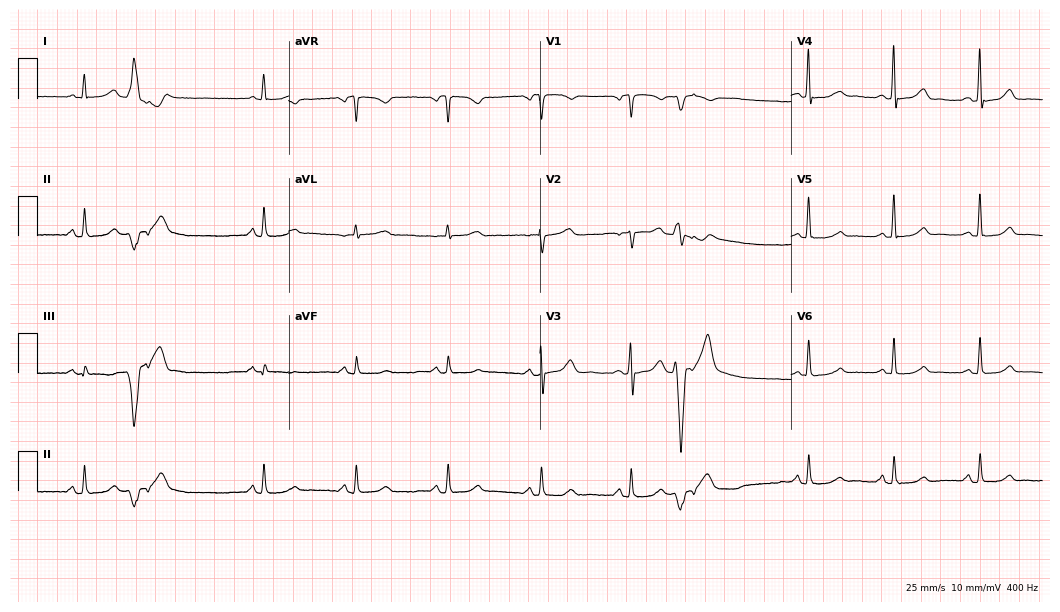
Resting 12-lead electrocardiogram. Patient: a female, 58 years old. Read as a normal ECG.